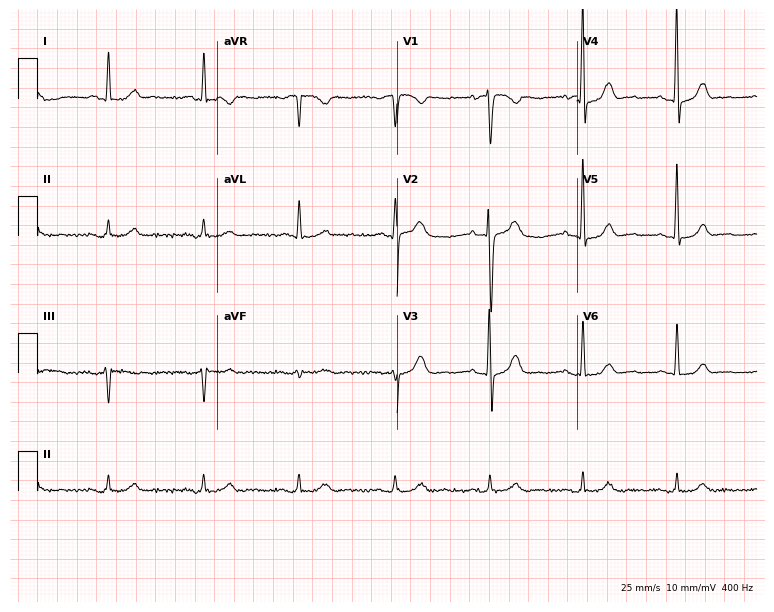
12-lead ECG from a man, 82 years old. Screened for six findings — first-degree AV block, right bundle branch block (RBBB), left bundle branch block (LBBB), sinus bradycardia, atrial fibrillation (AF), sinus tachycardia — none is recorded. Only these six findings were labelled.